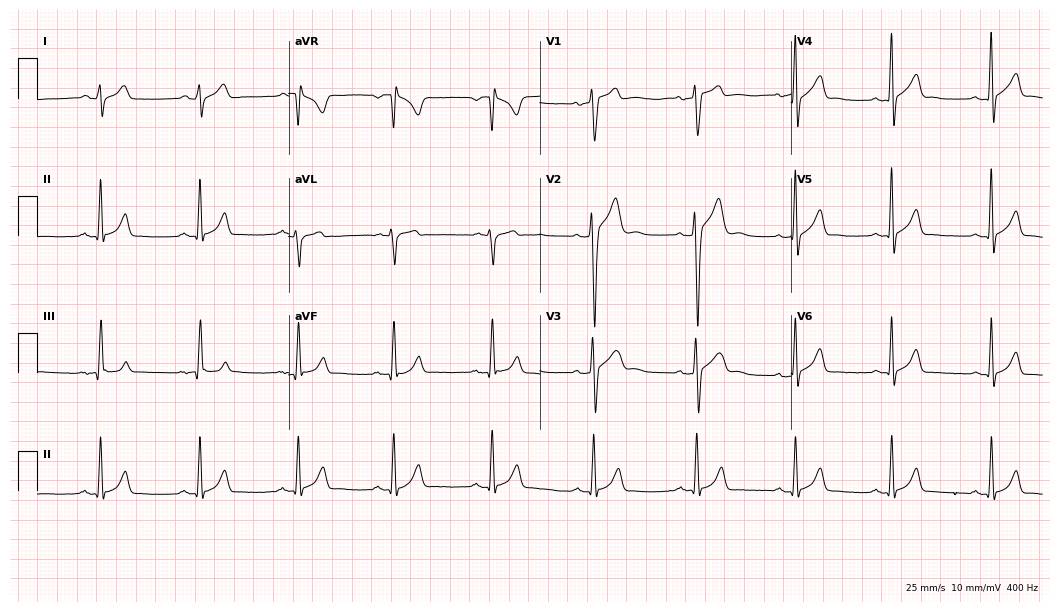
Standard 12-lead ECG recorded from a 19-year-old male patient (10.2-second recording at 400 Hz). Read as a normal ECG.